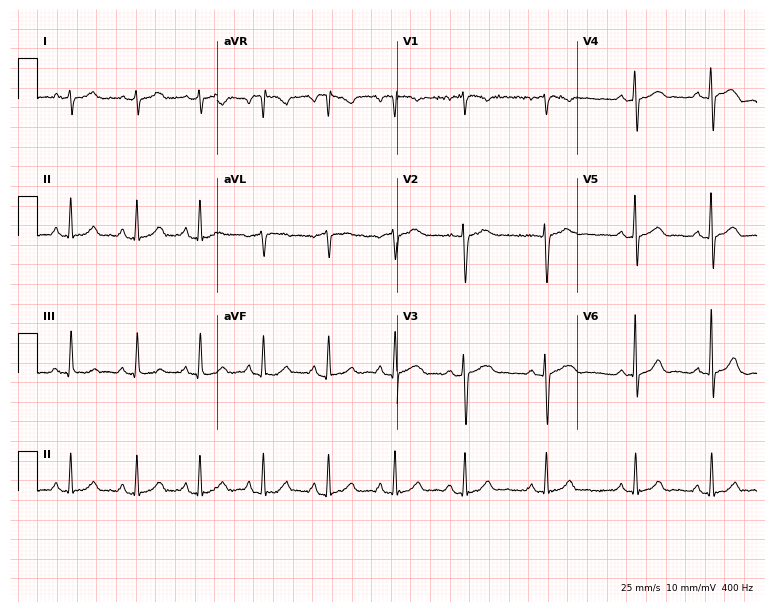
Electrocardiogram (7.3-second recording at 400 Hz), a 38-year-old female. Of the six screened findings (first-degree AV block, right bundle branch block, left bundle branch block, sinus bradycardia, atrial fibrillation, sinus tachycardia), none is recorded. Other findings, if any, are not listed.